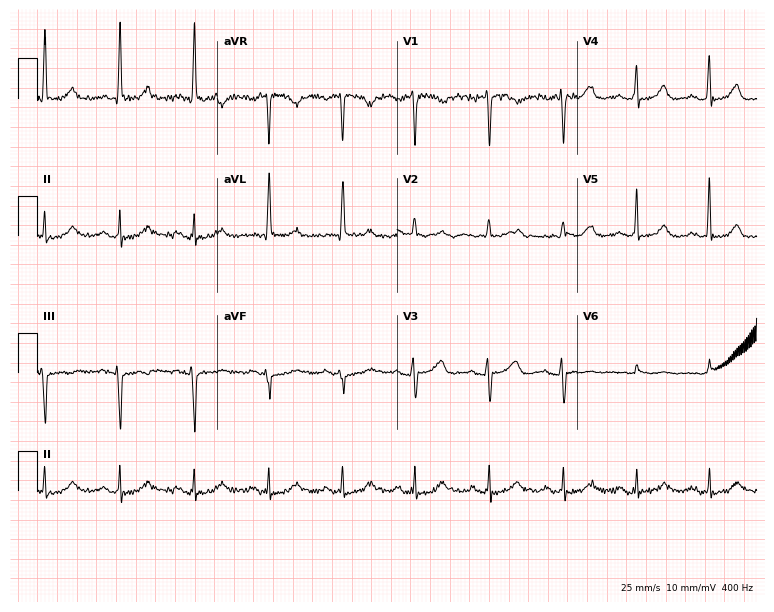
Standard 12-lead ECG recorded from a 78-year-old woman (7.3-second recording at 400 Hz). None of these six findings is recorded: first-degree AV block, right bundle branch block (RBBB), left bundle branch block (LBBB), sinus bradycardia, atrial fibrillation (AF), sinus tachycardia.